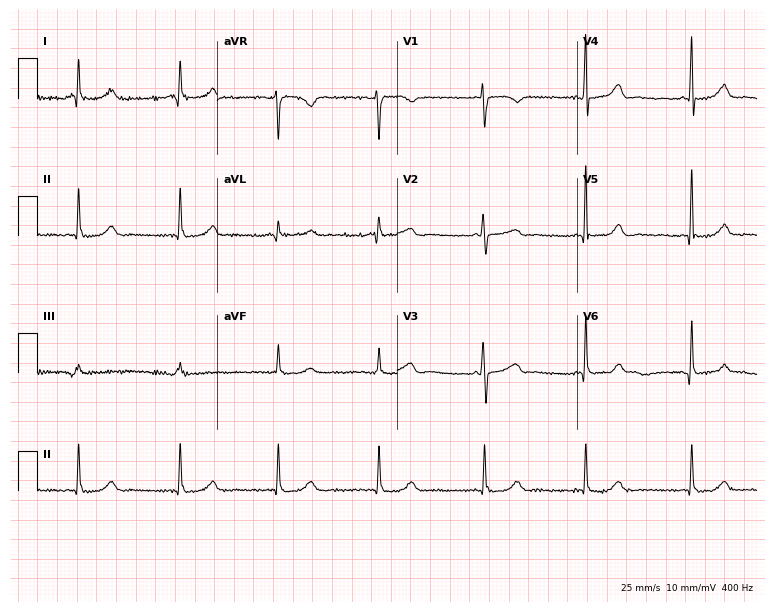
12-lead ECG from a 52-year-old woman (7.3-second recording at 400 Hz). No first-degree AV block, right bundle branch block, left bundle branch block, sinus bradycardia, atrial fibrillation or sinus tachycardia recorded for this tracing. Findings outside these six are not listed.